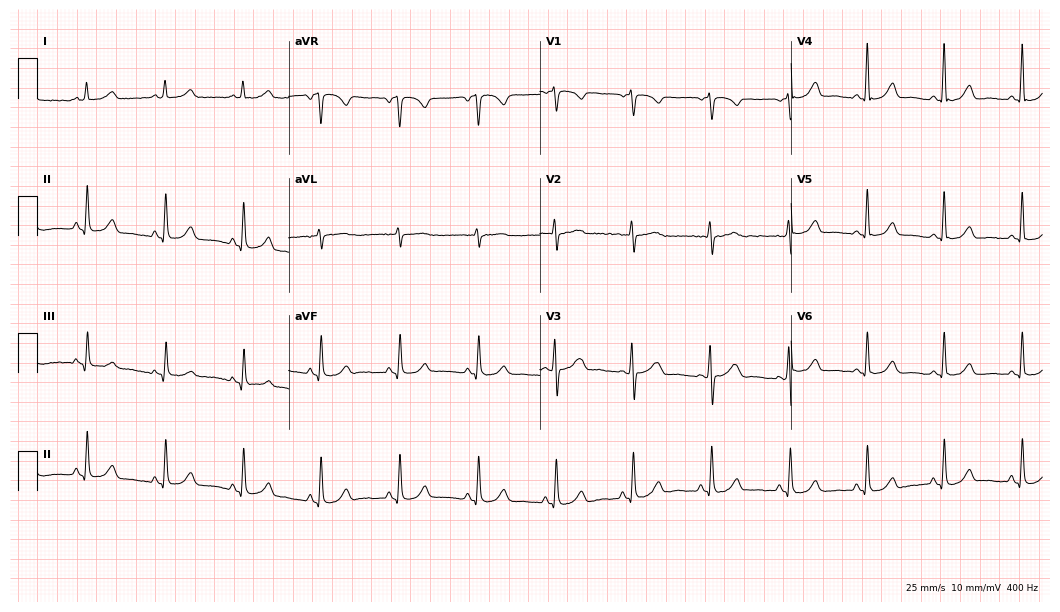
12-lead ECG from a 55-year-old woman (10.2-second recording at 400 Hz). Recorded interpretation: within normal limits.